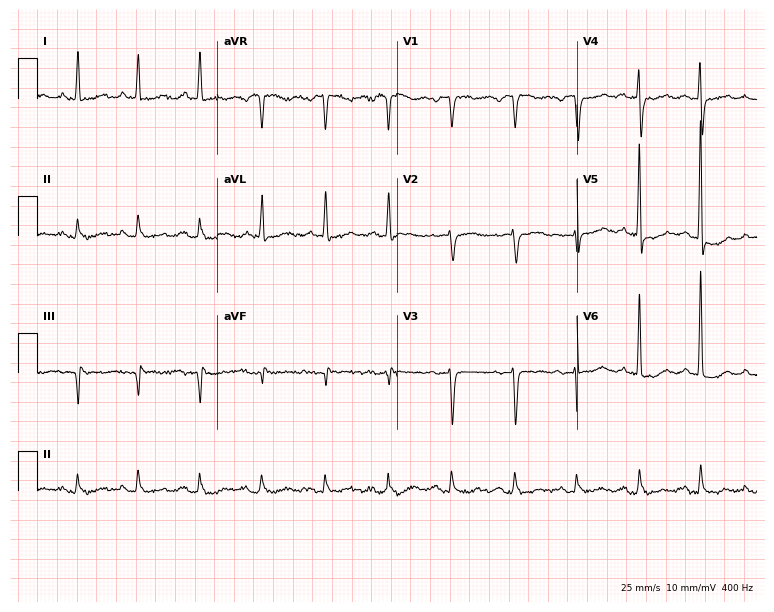
Electrocardiogram (7.3-second recording at 400 Hz), a 66-year-old female patient. Of the six screened findings (first-degree AV block, right bundle branch block, left bundle branch block, sinus bradycardia, atrial fibrillation, sinus tachycardia), none is recorded. Other findings, if any, are not listed.